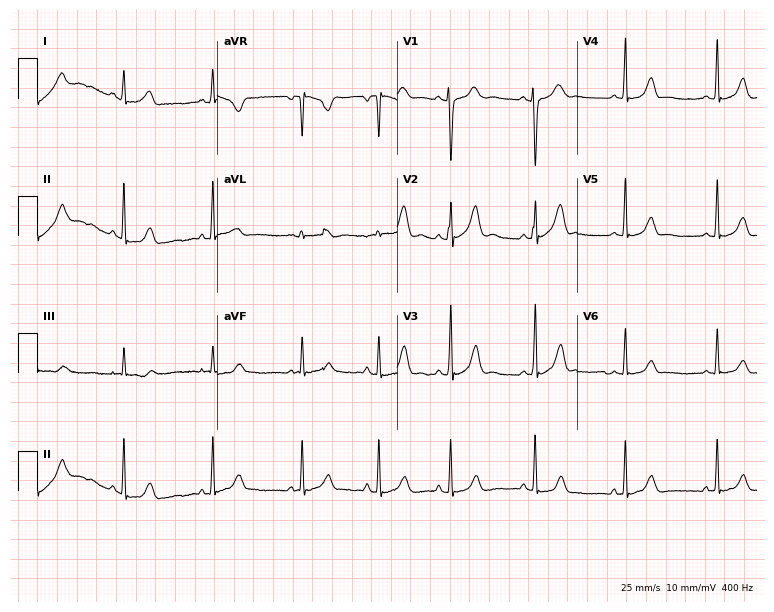
12-lead ECG (7.3-second recording at 400 Hz) from a 23-year-old woman. Labelled as a normal ECG.